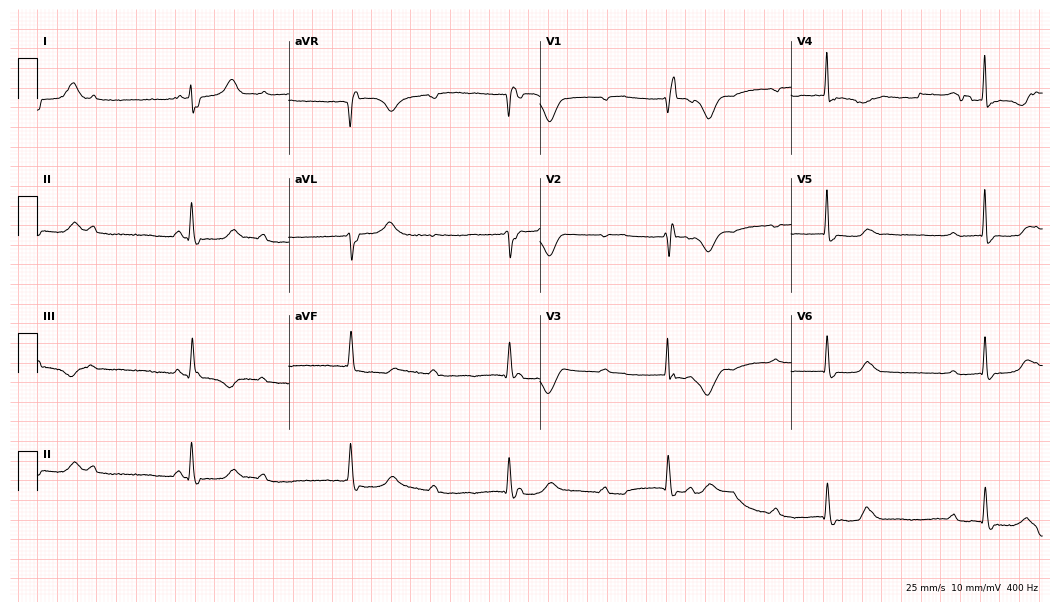
Resting 12-lead electrocardiogram. Patient: a female, 70 years old. None of these six findings is recorded: first-degree AV block, right bundle branch block, left bundle branch block, sinus bradycardia, atrial fibrillation, sinus tachycardia. Findings outside these six are not listed.